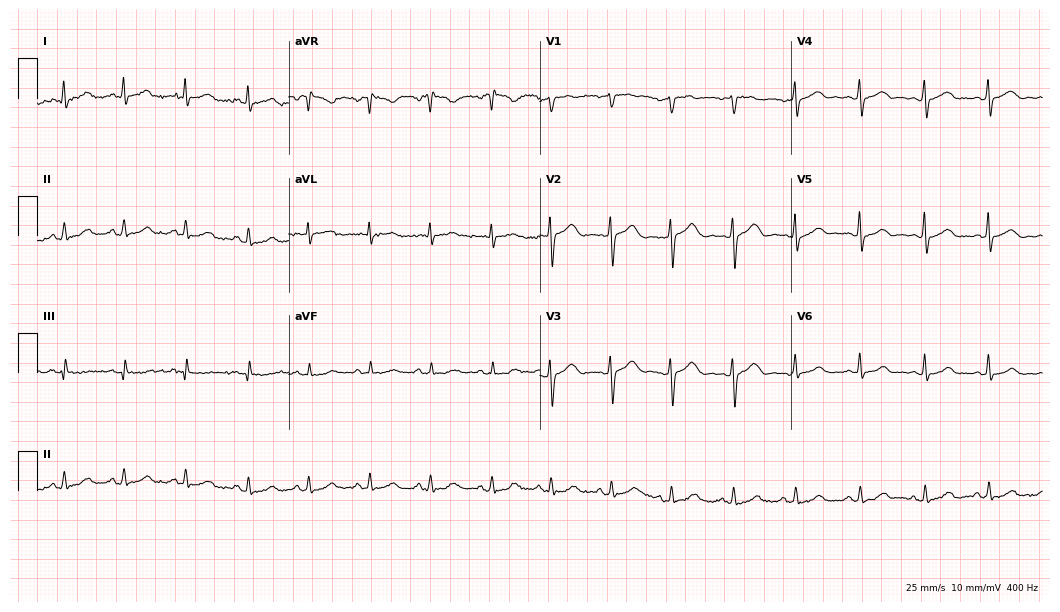
ECG (10.2-second recording at 400 Hz) — a 49-year-old woman. Labelled as a normal ECG.